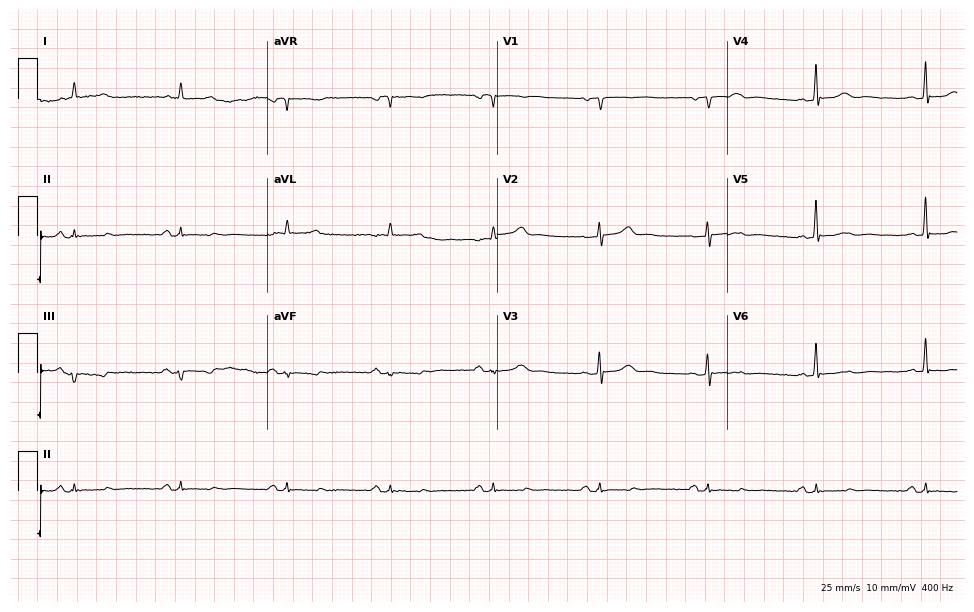
Electrocardiogram (9.4-second recording at 400 Hz), an 84-year-old female. Of the six screened findings (first-degree AV block, right bundle branch block, left bundle branch block, sinus bradycardia, atrial fibrillation, sinus tachycardia), none is recorded. Only these six findings were labelled.